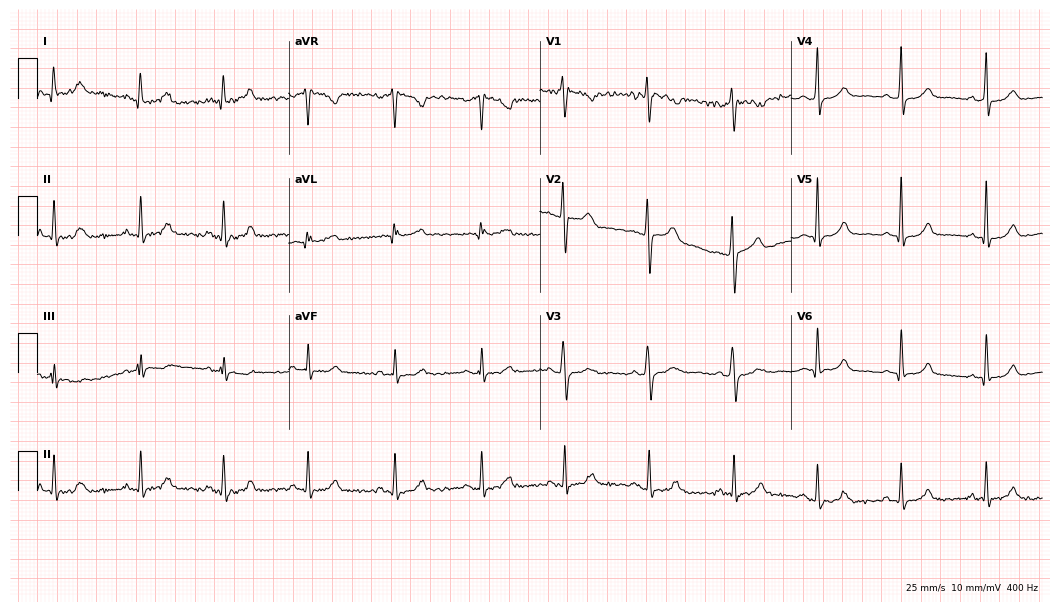
12-lead ECG from a 39-year-old female. Screened for six findings — first-degree AV block, right bundle branch block, left bundle branch block, sinus bradycardia, atrial fibrillation, sinus tachycardia — none is recorded. Only these six findings were labelled.